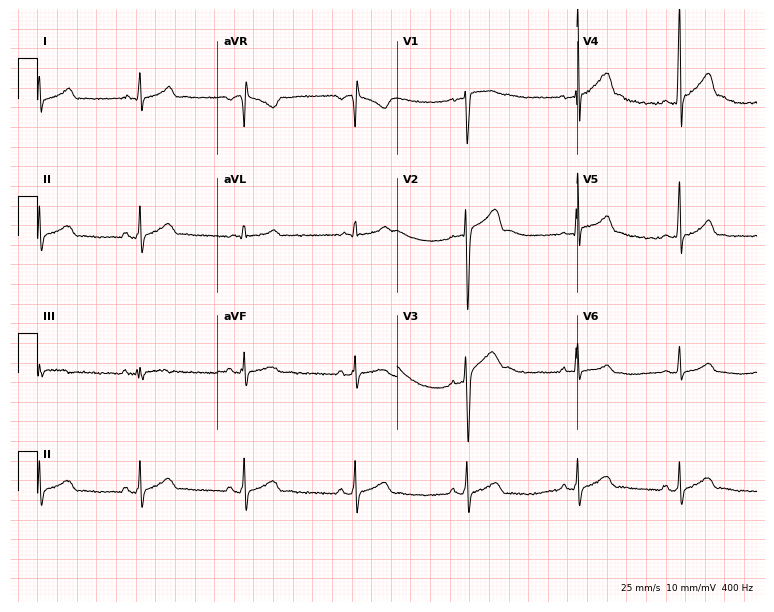
Standard 12-lead ECG recorded from a male, 20 years old (7.3-second recording at 400 Hz). Read as a normal ECG.